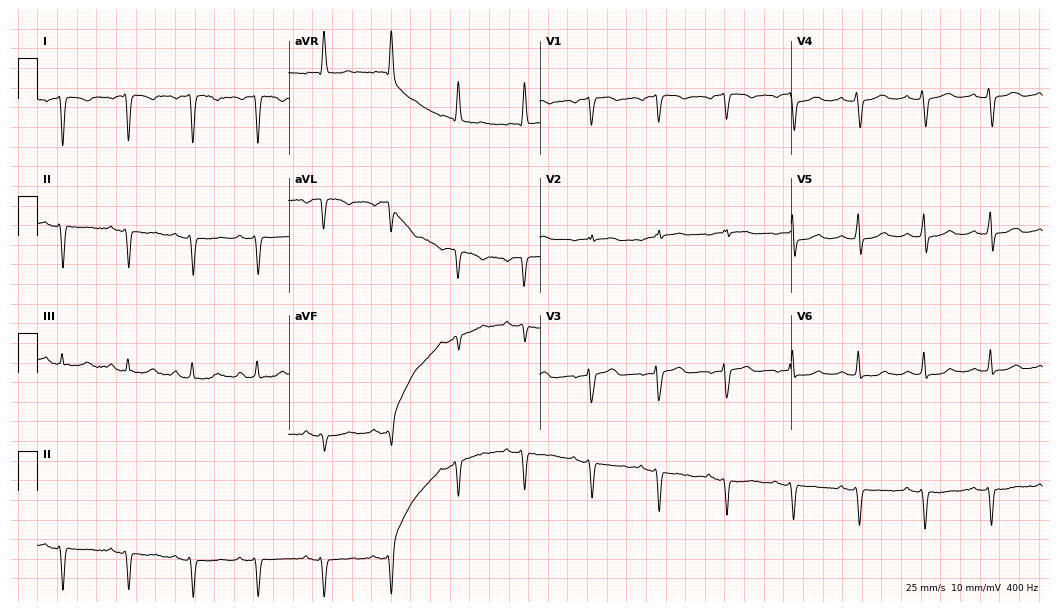
12-lead ECG from a female, 67 years old. Screened for six findings — first-degree AV block, right bundle branch block, left bundle branch block, sinus bradycardia, atrial fibrillation, sinus tachycardia — none is recorded. Findings outside these six are not listed.